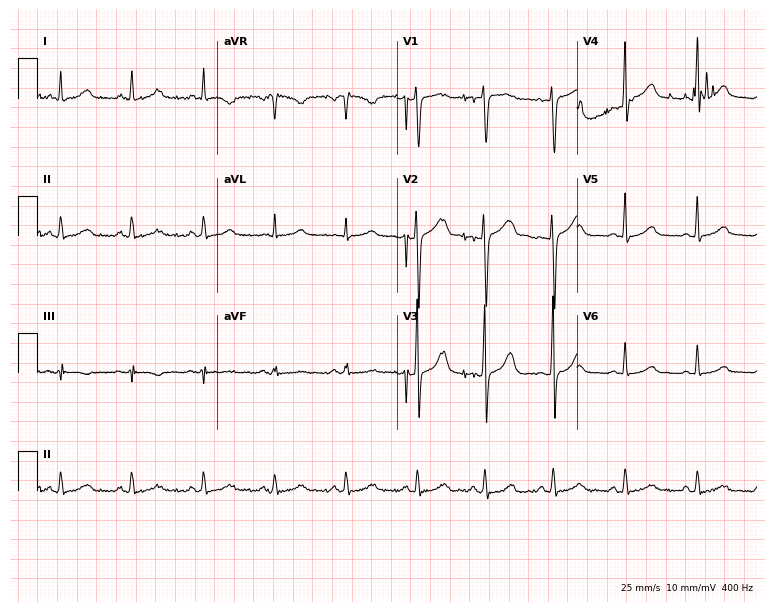
12-lead ECG from a 53-year-old male (7.3-second recording at 400 Hz). Recorded interpretation: within normal limits.